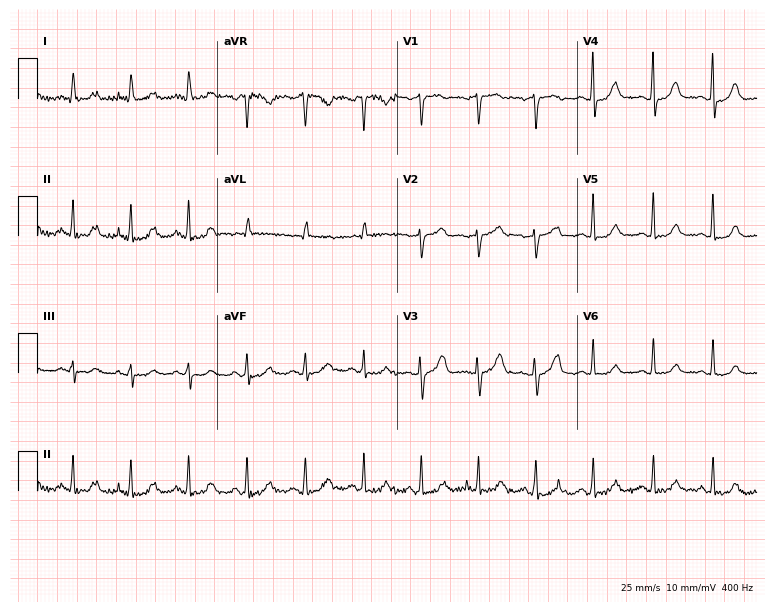
Resting 12-lead electrocardiogram. Patient: a female, 64 years old. The tracing shows sinus tachycardia (a sinus rate of 100 beats per minute or more).